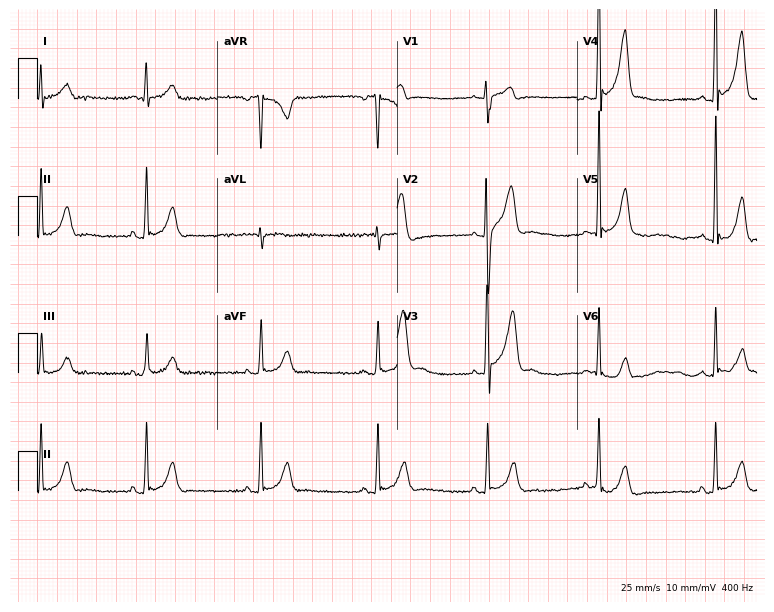
Electrocardiogram, a male patient, 21 years old. Of the six screened findings (first-degree AV block, right bundle branch block, left bundle branch block, sinus bradycardia, atrial fibrillation, sinus tachycardia), none is recorded.